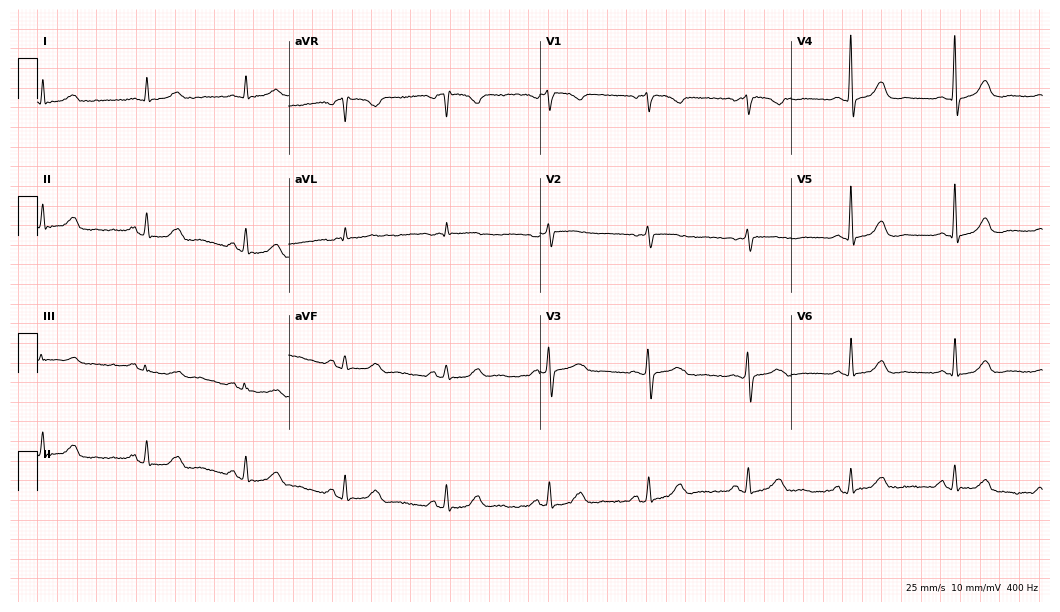
12-lead ECG from a 66-year-old woman. Screened for six findings — first-degree AV block, right bundle branch block, left bundle branch block, sinus bradycardia, atrial fibrillation, sinus tachycardia — none is recorded.